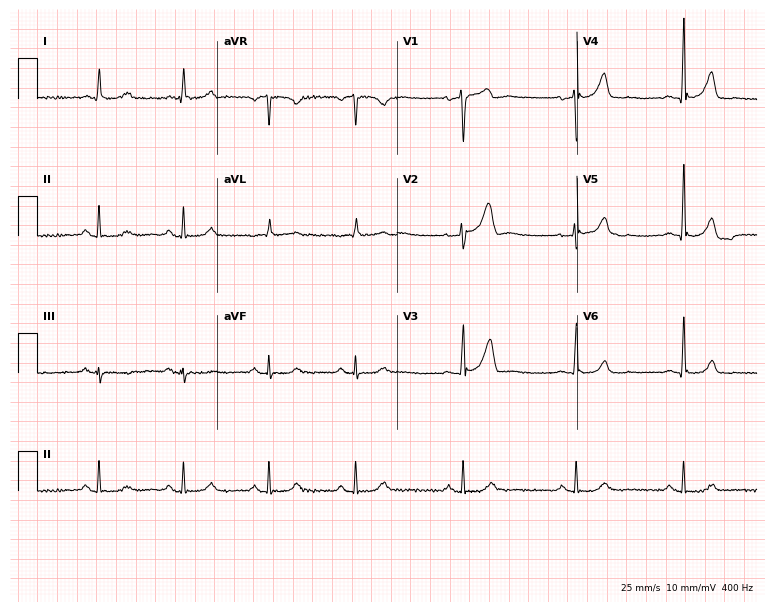
12-lead ECG from a man, 69 years old (7.3-second recording at 400 Hz). Recorded interpretation: within normal limits.